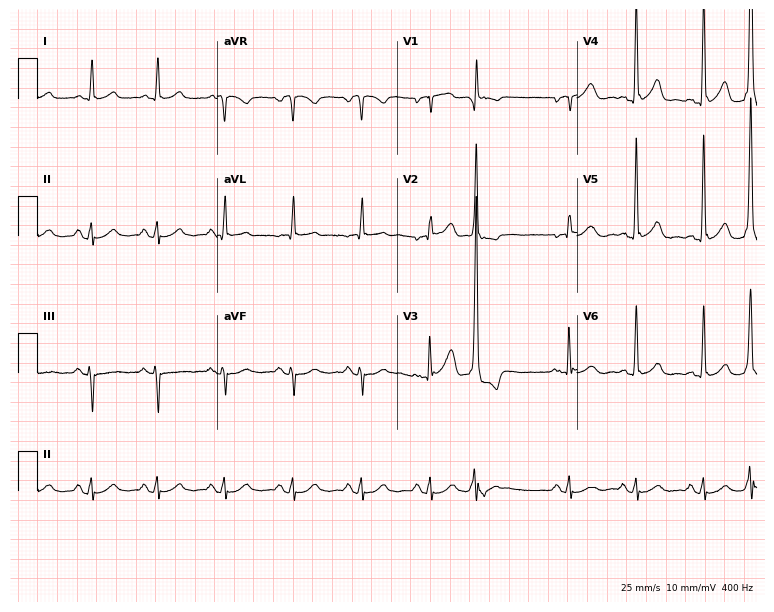
Electrocardiogram, a male patient, 83 years old. Of the six screened findings (first-degree AV block, right bundle branch block (RBBB), left bundle branch block (LBBB), sinus bradycardia, atrial fibrillation (AF), sinus tachycardia), none is recorded. Only these six findings were labelled.